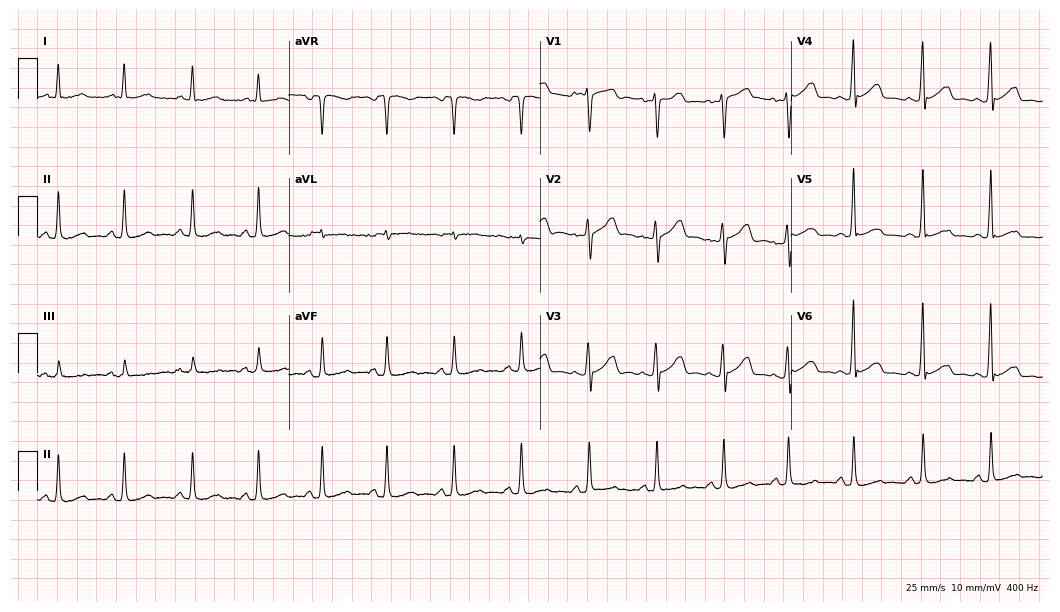
Electrocardiogram (10.2-second recording at 400 Hz), a woman, 51 years old. Overall reading on record: normal ECG.